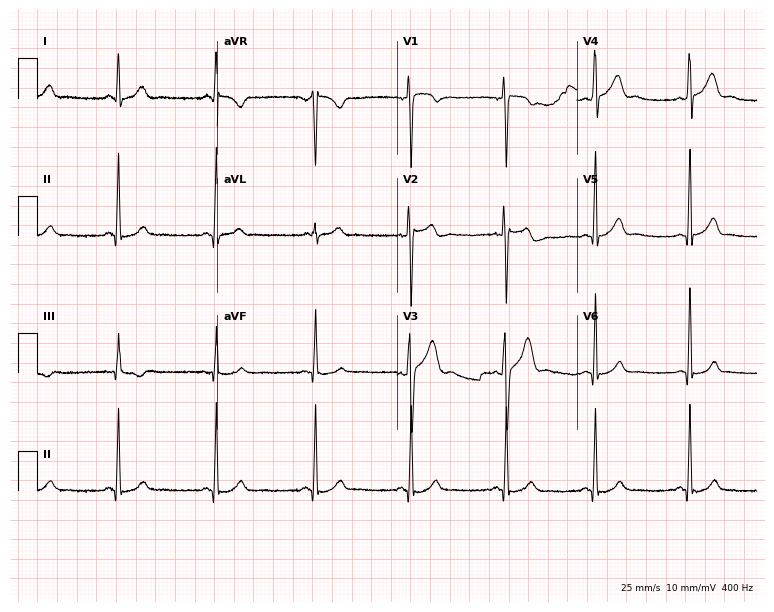
12-lead ECG from a man, 30 years old (7.3-second recording at 400 Hz). Recorded interpretation: within normal limits.